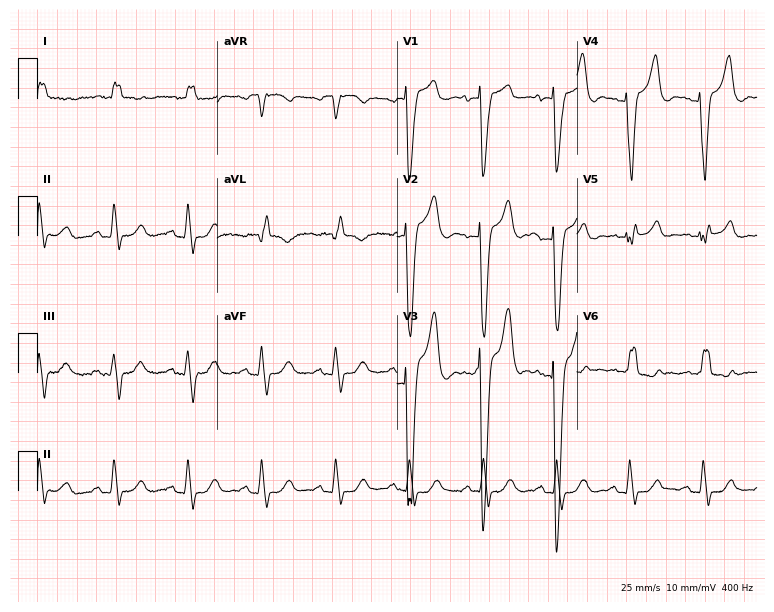
ECG (7.3-second recording at 400 Hz) — a woman, 85 years old. Findings include left bundle branch block (LBBB).